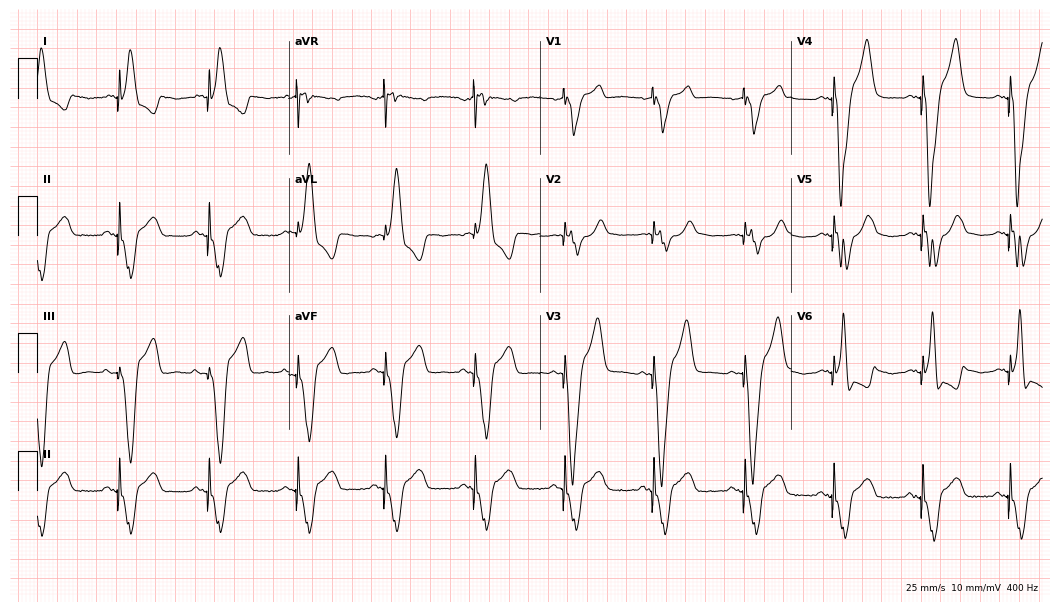
ECG (10.2-second recording at 400 Hz) — an 80-year-old female. Screened for six findings — first-degree AV block, right bundle branch block, left bundle branch block, sinus bradycardia, atrial fibrillation, sinus tachycardia — none is recorded.